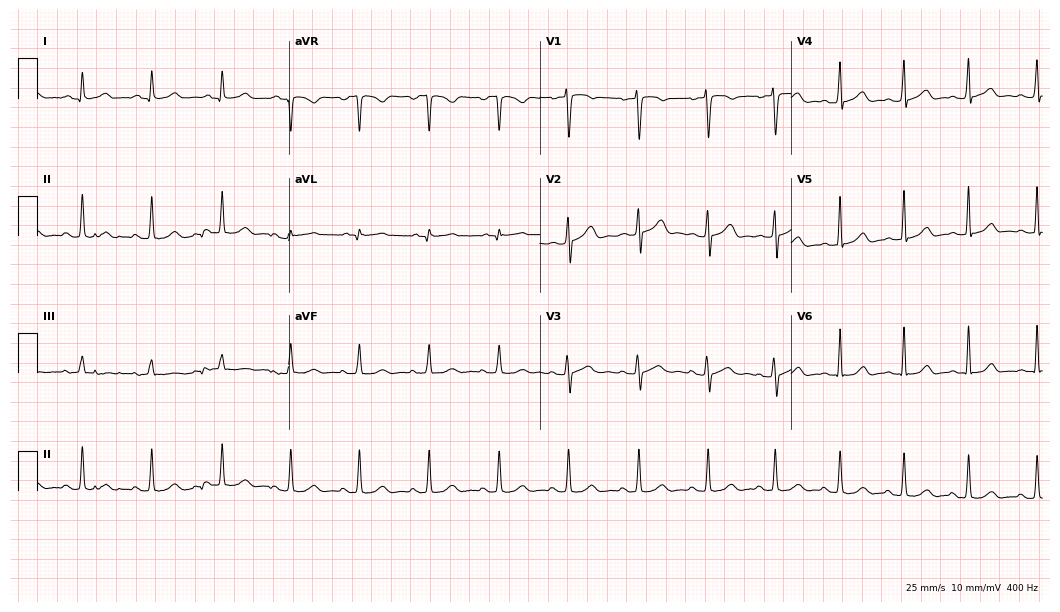
ECG (10.2-second recording at 400 Hz) — a female patient, 21 years old. Labelled as a normal ECG.